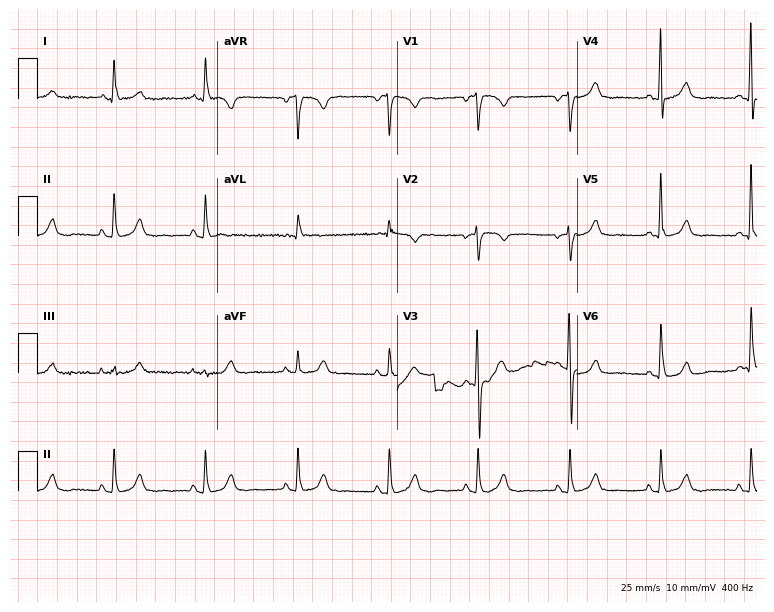
ECG — a female, 61 years old. Labelled as a normal ECG.